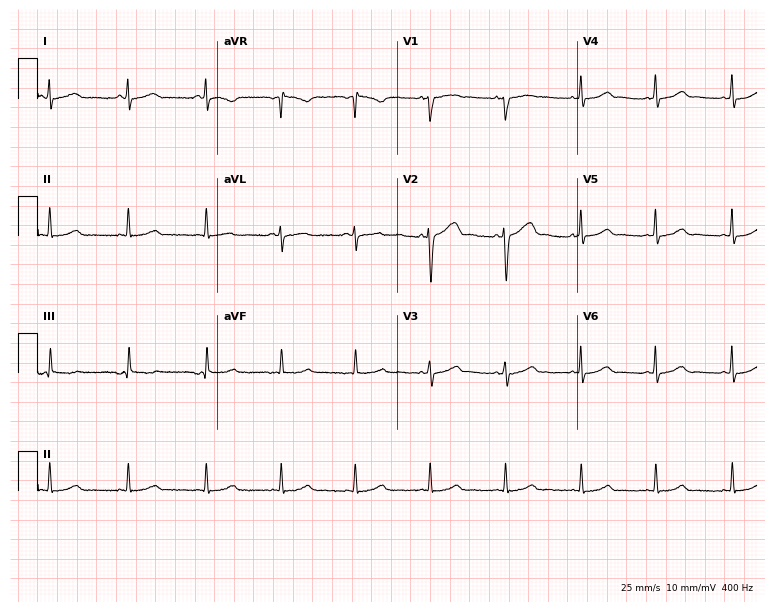
Standard 12-lead ECG recorded from a woman, 34 years old. None of these six findings is recorded: first-degree AV block, right bundle branch block, left bundle branch block, sinus bradycardia, atrial fibrillation, sinus tachycardia.